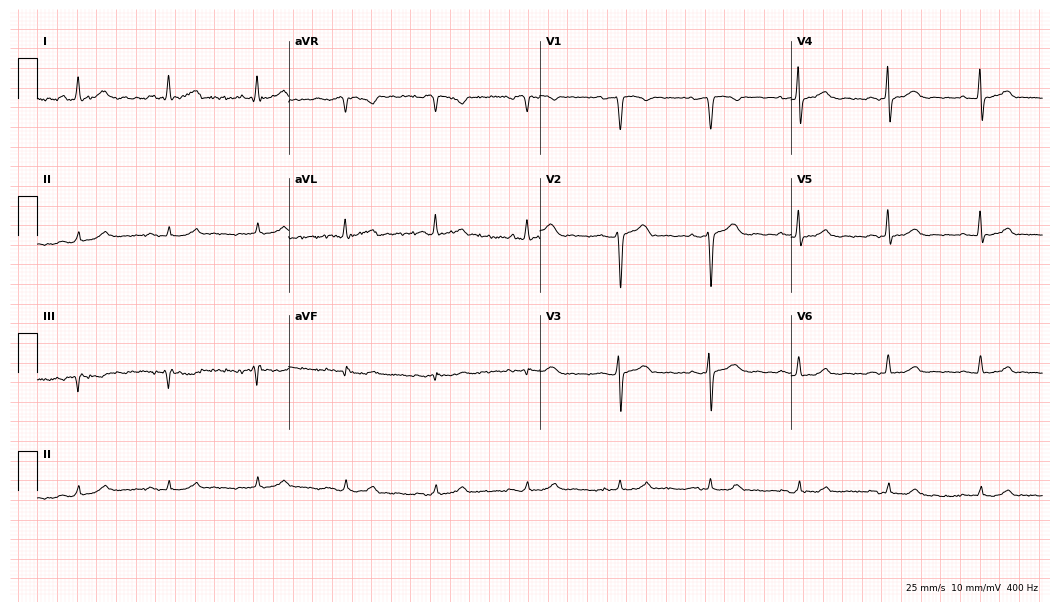
ECG (10.2-second recording at 400 Hz) — a female patient, 51 years old. Screened for six findings — first-degree AV block, right bundle branch block, left bundle branch block, sinus bradycardia, atrial fibrillation, sinus tachycardia — none is recorded.